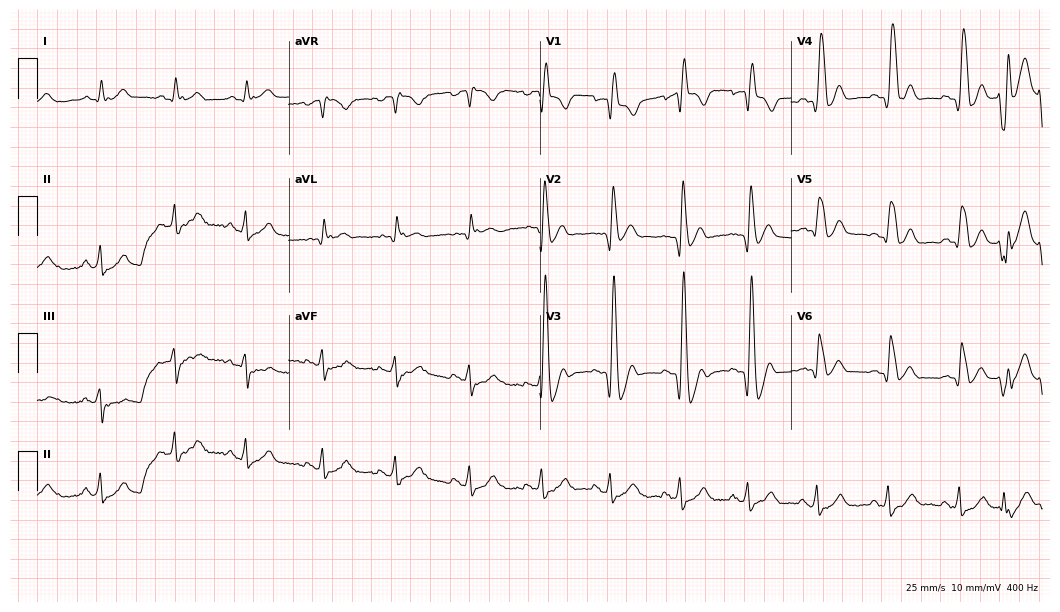
12-lead ECG from a male patient, 41 years old. Findings include right bundle branch block (RBBB).